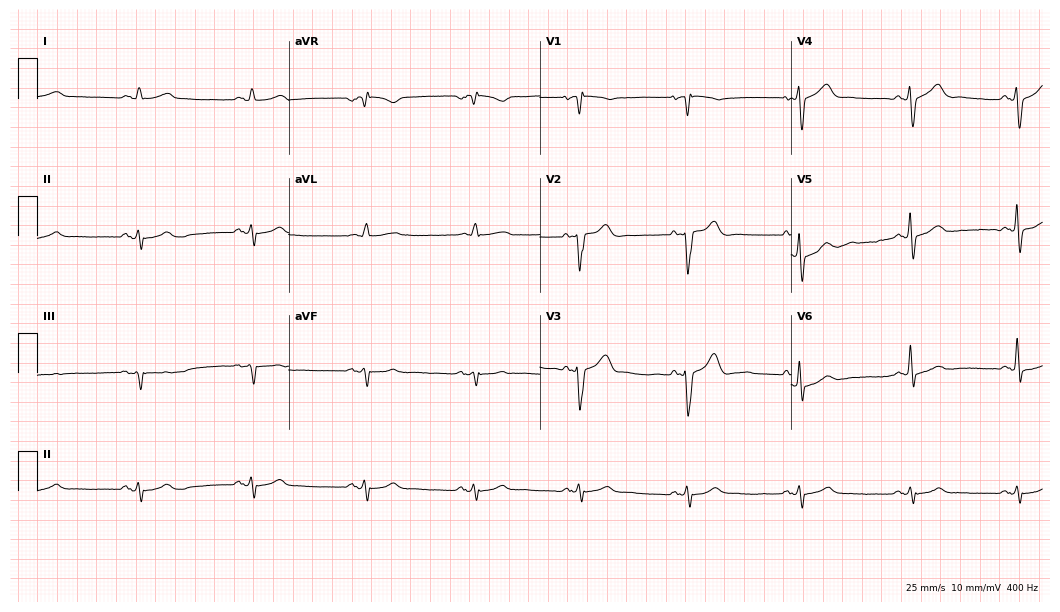
12-lead ECG from a 68-year-old man (10.2-second recording at 400 Hz). No first-degree AV block, right bundle branch block (RBBB), left bundle branch block (LBBB), sinus bradycardia, atrial fibrillation (AF) or sinus tachycardia recorded for this tracing.